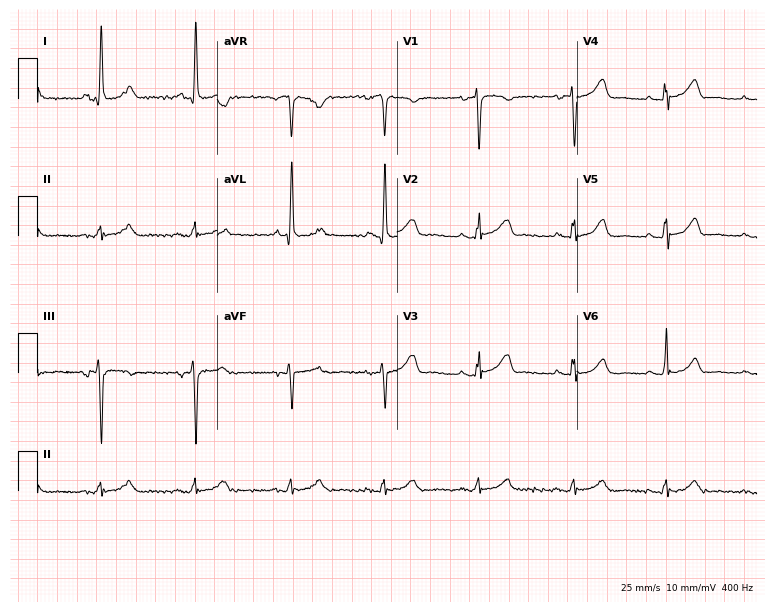
Resting 12-lead electrocardiogram. Patient: a female, 83 years old. Read as a normal ECG.